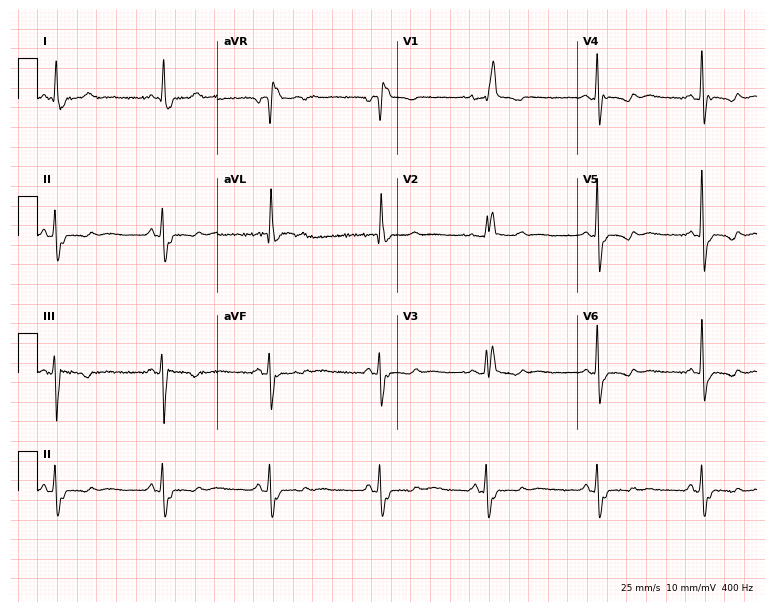
Standard 12-lead ECG recorded from an 85-year-old female patient (7.3-second recording at 400 Hz). None of these six findings is recorded: first-degree AV block, right bundle branch block, left bundle branch block, sinus bradycardia, atrial fibrillation, sinus tachycardia. Findings outside these six are not listed.